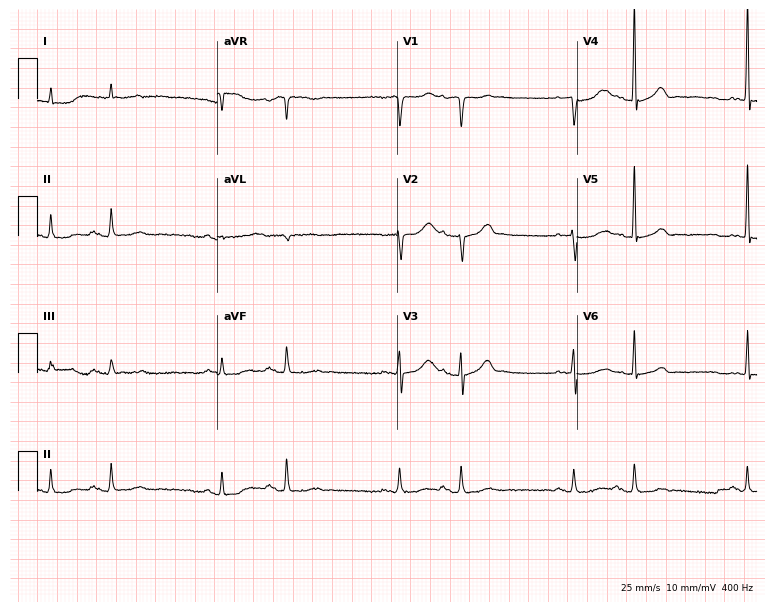
12-lead ECG from an 85-year-old male patient (7.3-second recording at 400 Hz). No first-degree AV block, right bundle branch block, left bundle branch block, sinus bradycardia, atrial fibrillation or sinus tachycardia recorded for this tracing. Other findings, if any, are not listed.